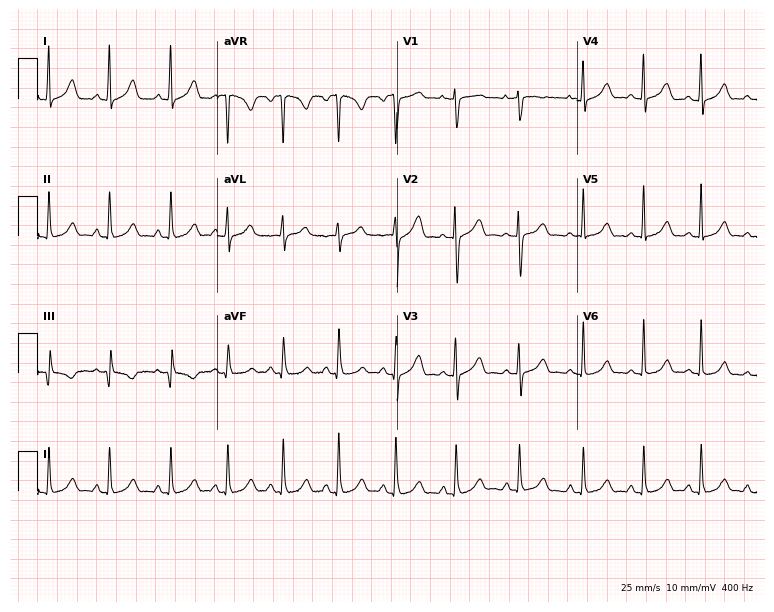
ECG — a female patient, 23 years old. Labelled as a normal ECG.